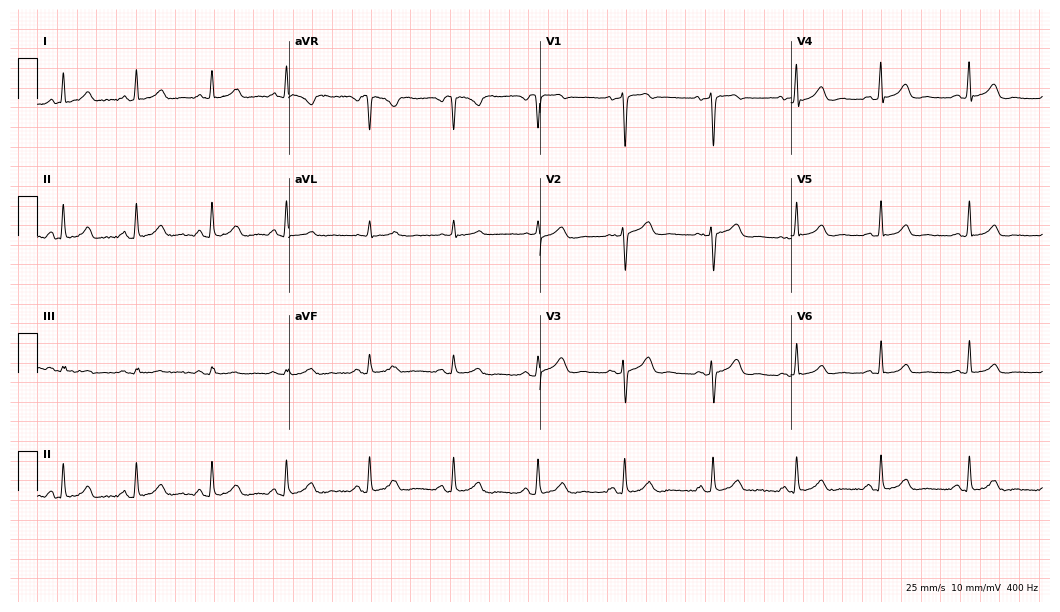
ECG (10.2-second recording at 400 Hz) — a female patient, 43 years old. Labelled as a normal ECG.